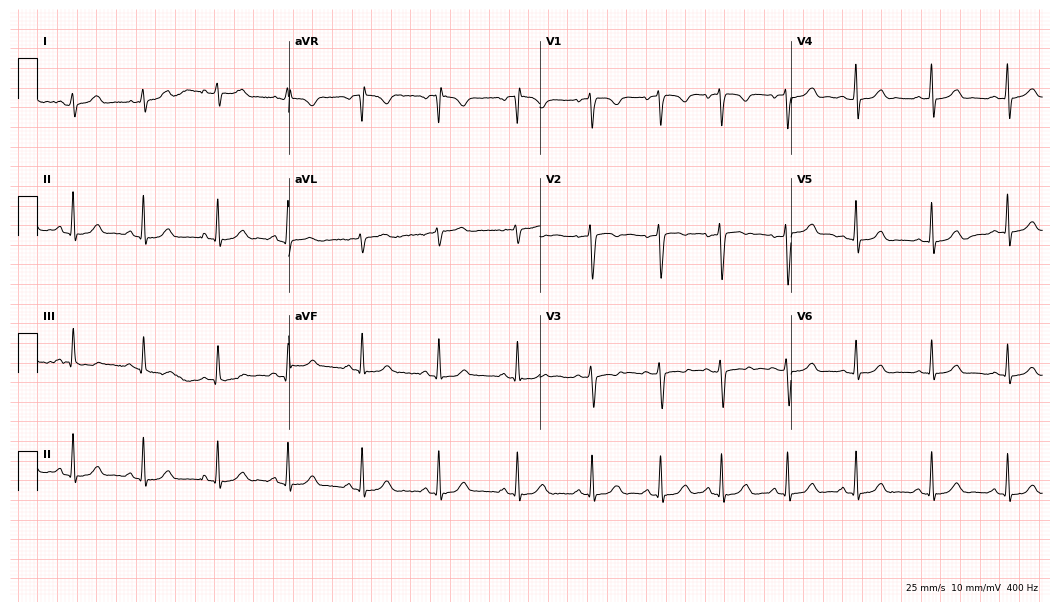
Standard 12-lead ECG recorded from a woman, 30 years old (10.2-second recording at 400 Hz). Read as a normal ECG.